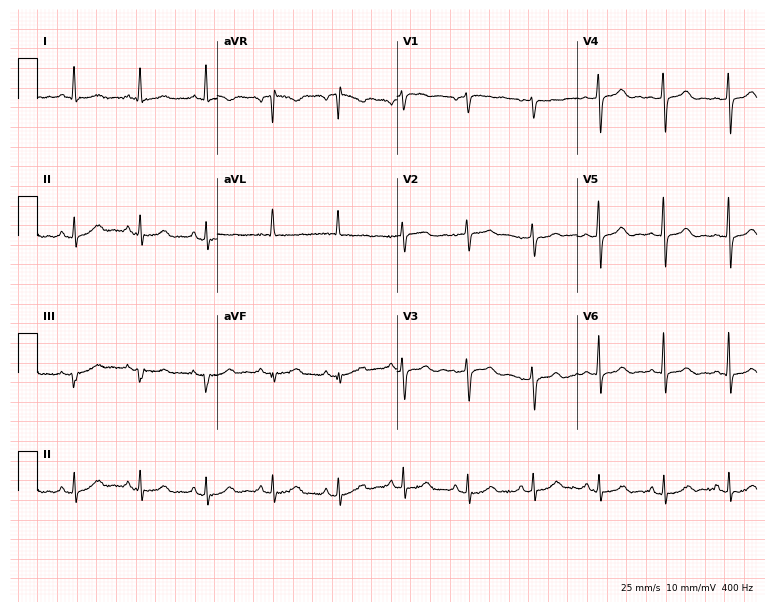
ECG (7.3-second recording at 400 Hz) — a woman, 60 years old. Screened for six findings — first-degree AV block, right bundle branch block, left bundle branch block, sinus bradycardia, atrial fibrillation, sinus tachycardia — none is recorded. Only these six findings were labelled.